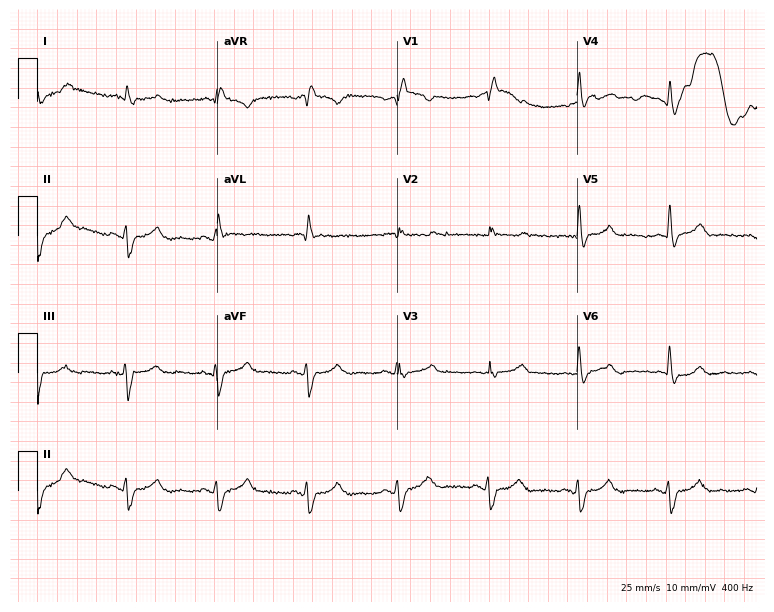
12-lead ECG from a male, 58 years old (7.3-second recording at 400 Hz). Shows right bundle branch block.